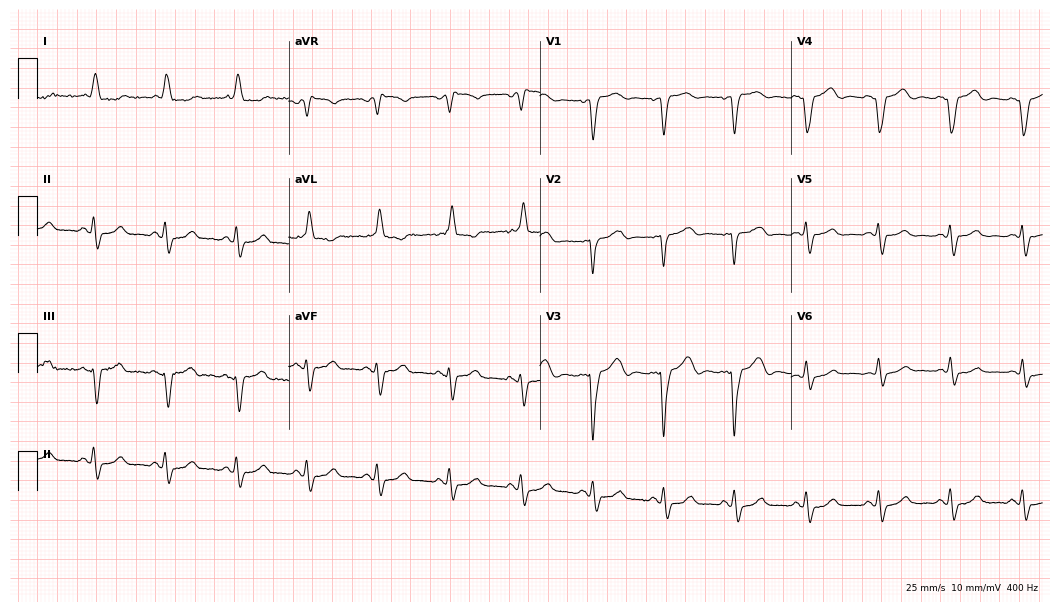
Electrocardiogram, a 78-year-old woman. Of the six screened findings (first-degree AV block, right bundle branch block, left bundle branch block, sinus bradycardia, atrial fibrillation, sinus tachycardia), none is recorded.